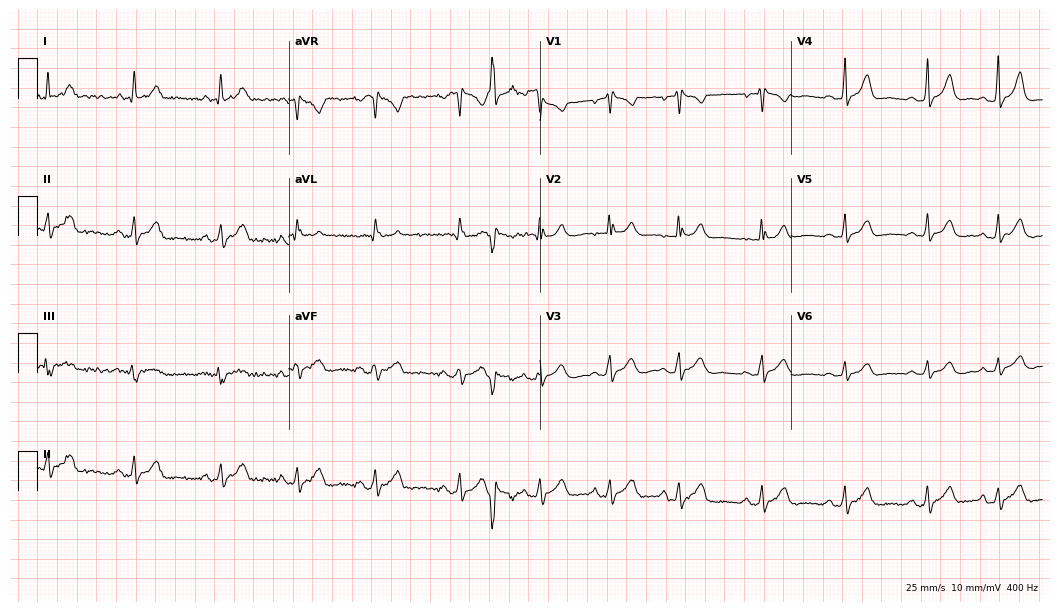
12-lead ECG from a woman, 19 years old. Recorded interpretation: within normal limits.